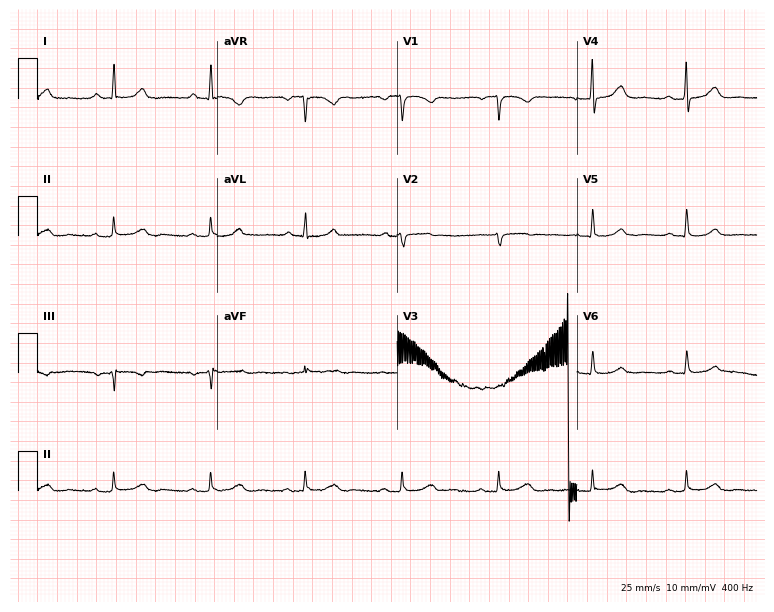
12-lead ECG from a 51-year-old female. Screened for six findings — first-degree AV block, right bundle branch block (RBBB), left bundle branch block (LBBB), sinus bradycardia, atrial fibrillation (AF), sinus tachycardia — none is recorded. Other findings, if any, are not listed.